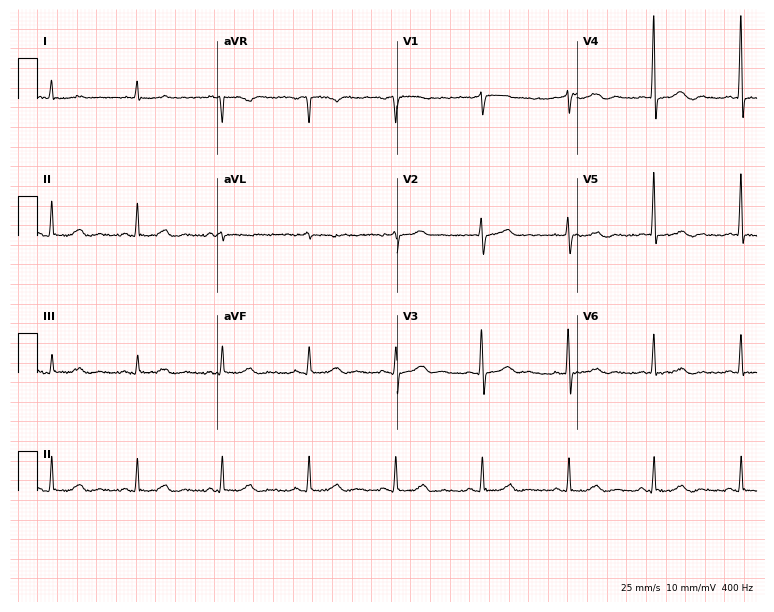
12-lead ECG from a female, 68 years old (7.3-second recording at 400 Hz). Recorded interpretation: within normal limits.